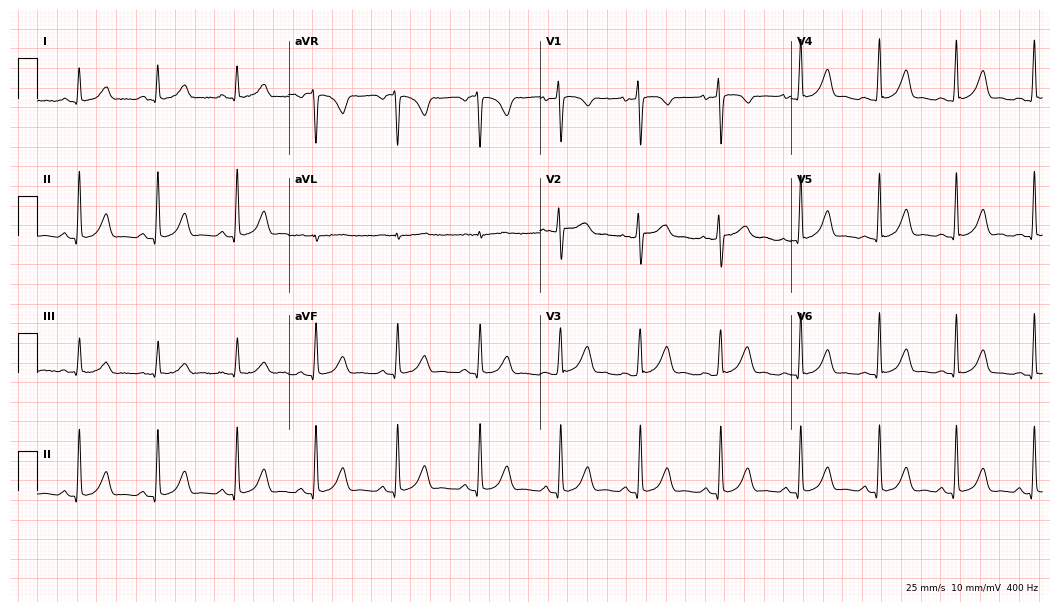
12-lead ECG from a 28-year-old female patient. Labelled as a normal ECG.